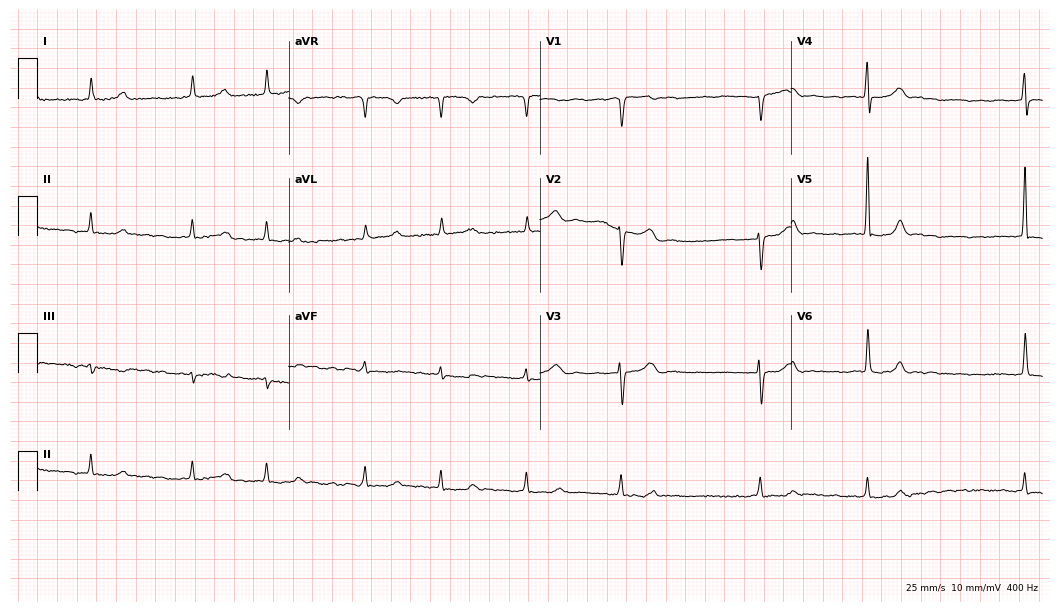
Standard 12-lead ECG recorded from a woman, 65 years old. None of these six findings is recorded: first-degree AV block, right bundle branch block, left bundle branch block, sinus bradycardia, atrial fibrillation, sinus tachycardia. Other findings, if any, are not listed.